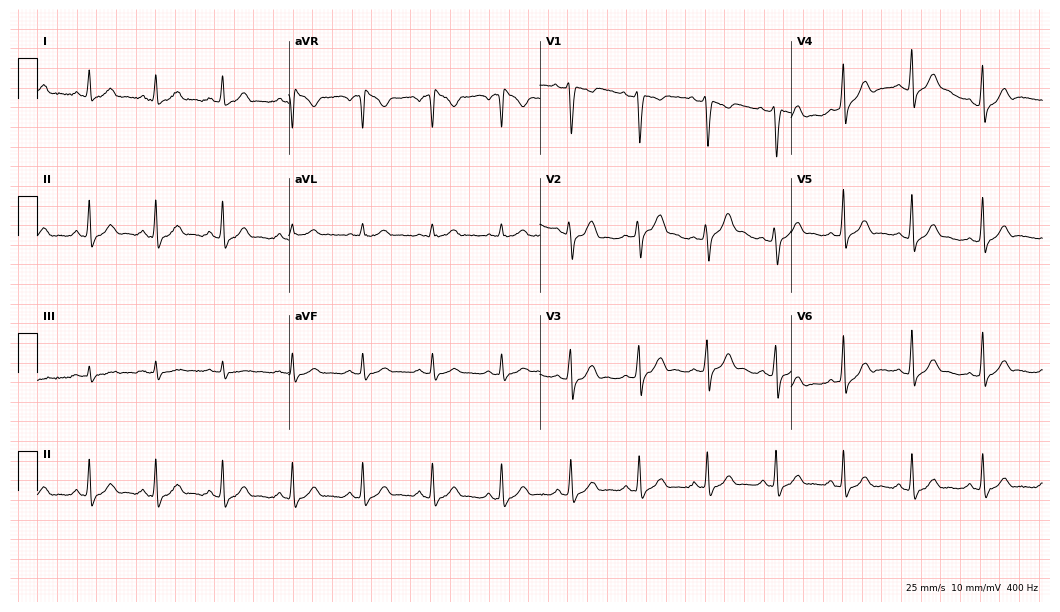
12-lead ECG from a 29-year-old male (10.2-second recording at 400 Hz). No first-degree AV block, right bundle branch block (RBBB), left bundle branch block (LBBB), sinus bradycardia, atrial fibrillation (AF) or sinus tachycardia recorded for this tracing.